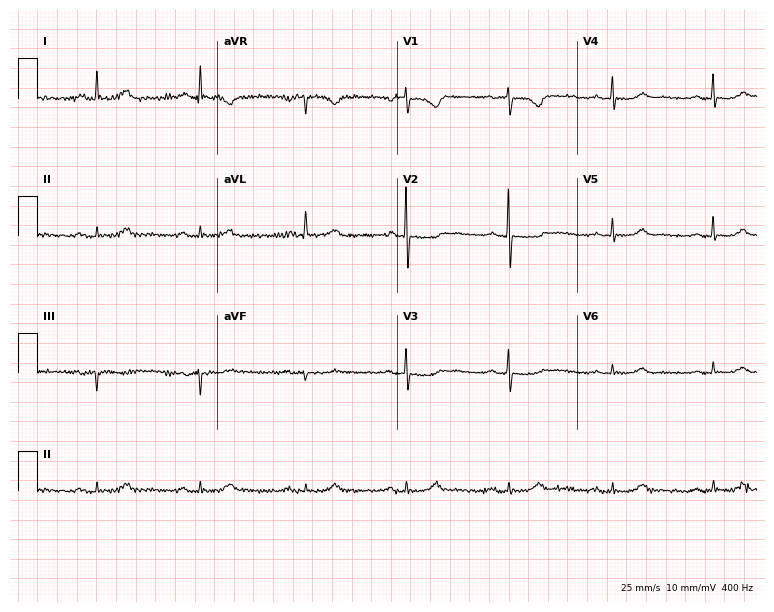
Standard 12-lead ECG recorded from a 75-year-old female patient (7.3-second recording at 400 Hz). None of these six findings is recorded: first-degree AV block, right bundle branch block, left bundle branch block, sinus bradycardia, atrial fibrillation, sinus tachycardia. Other findings, if any, are not listed.